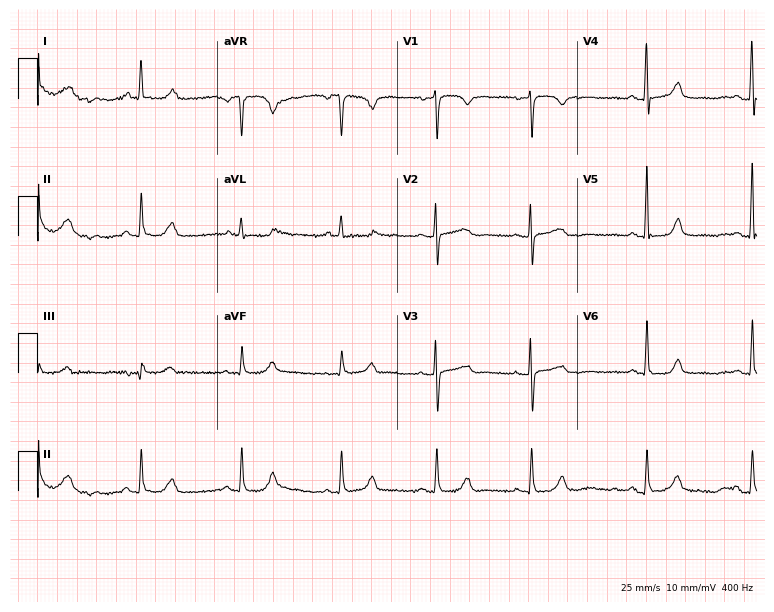
ECG — a 68-year-old woman. Labelled as a normal ECG.